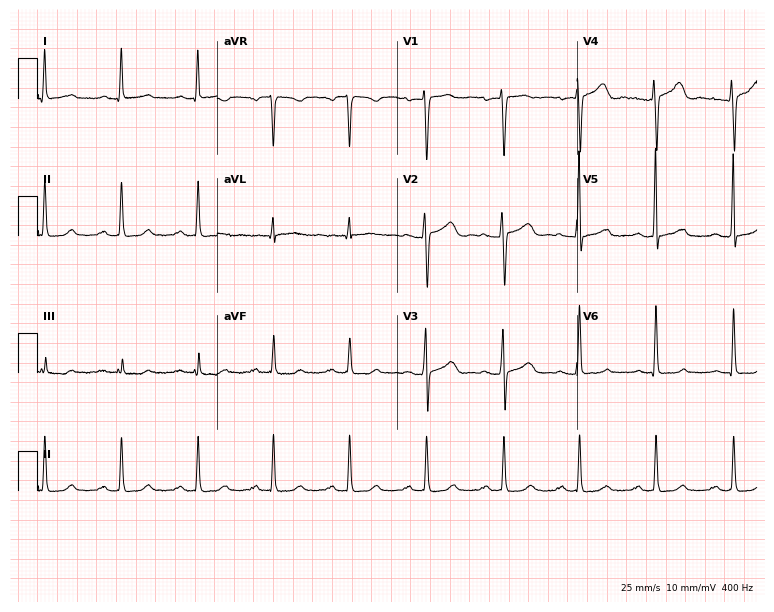
Resting 12-lead electrocardiogram (7.3-second recording at 400 Hz). Patient: a female, 53 years old. The tracing shows first-degree AV block.